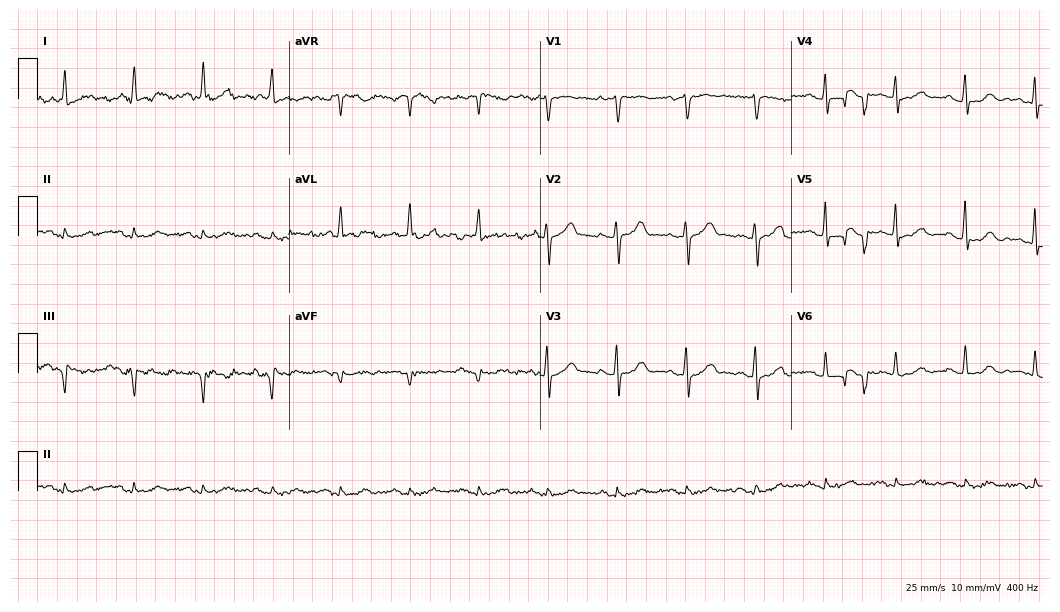
12-lead ECG from a male, 85 years old. Labelled as a normal ECG.